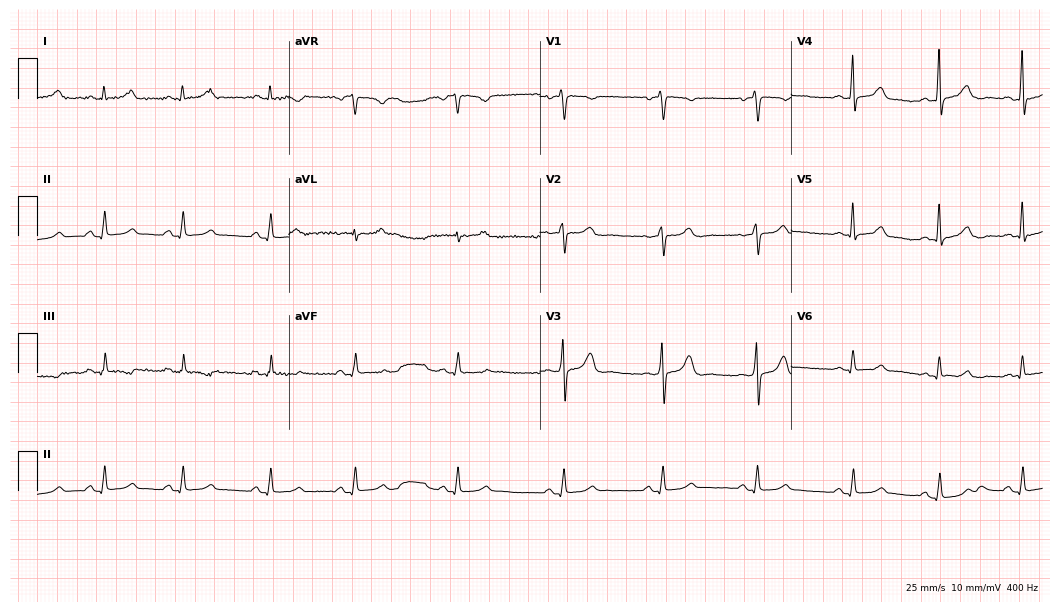
Standard 12-lead ECG recorded from a female, 38 years old (10.2-second recording at 400 Hz). Read as a normal ECG.